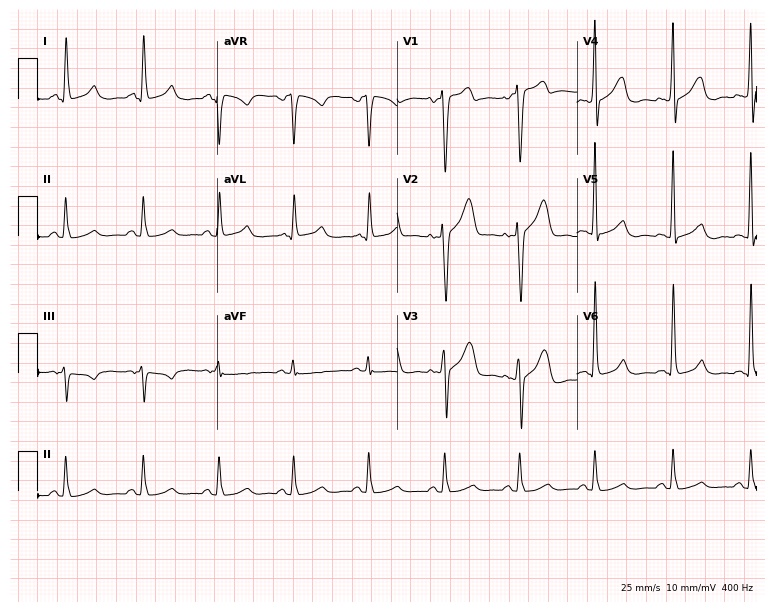
Resting 12-lead electrocardiogram. Patient: a male, 51 years old. None of these six findings is recorded: first-degree AV block, right bundle branch block, left bundle branch block, sinus bradycardia, atrial fibrillation, sinus tachycardia. Only these six findings were labelled.